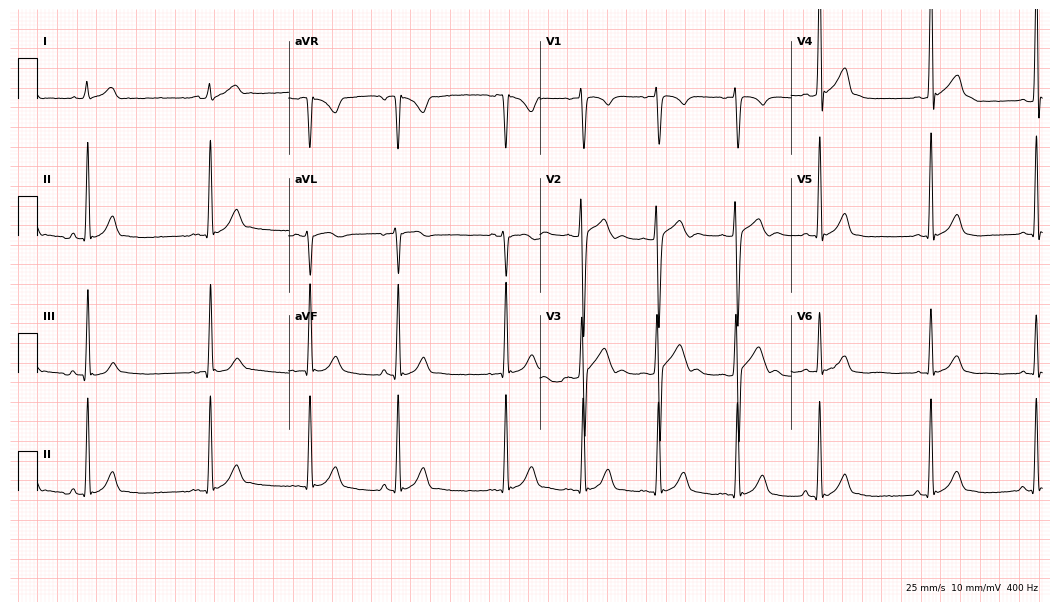
ECG (10.2-second recording at 400 Hz) — a 17-year-old male patient. Labelled as a normal ECG.